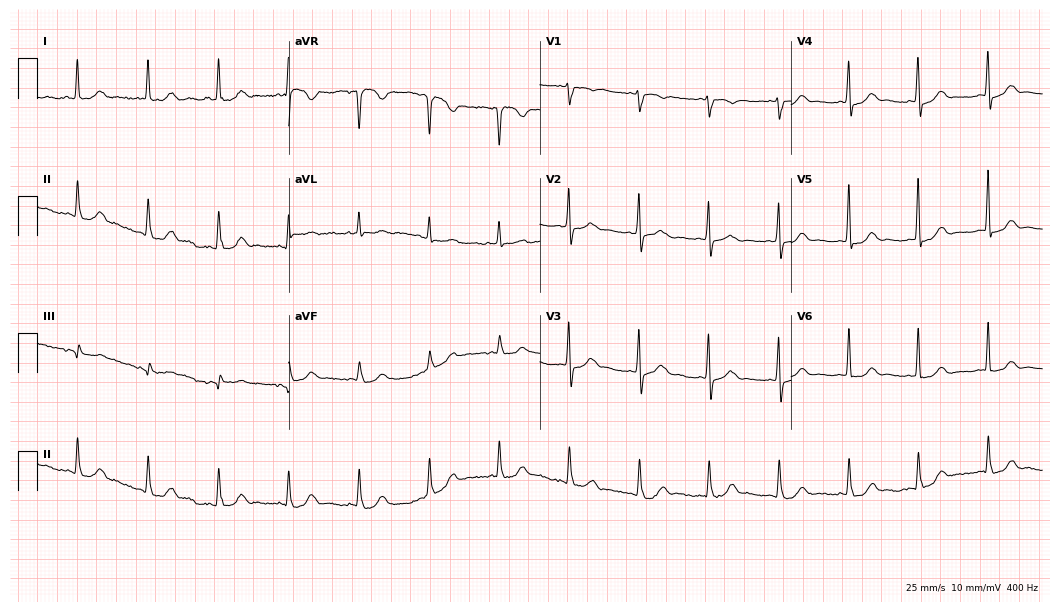
Electrocardiogram, a man, 77 years old. Overall reading on record: normal ECG.